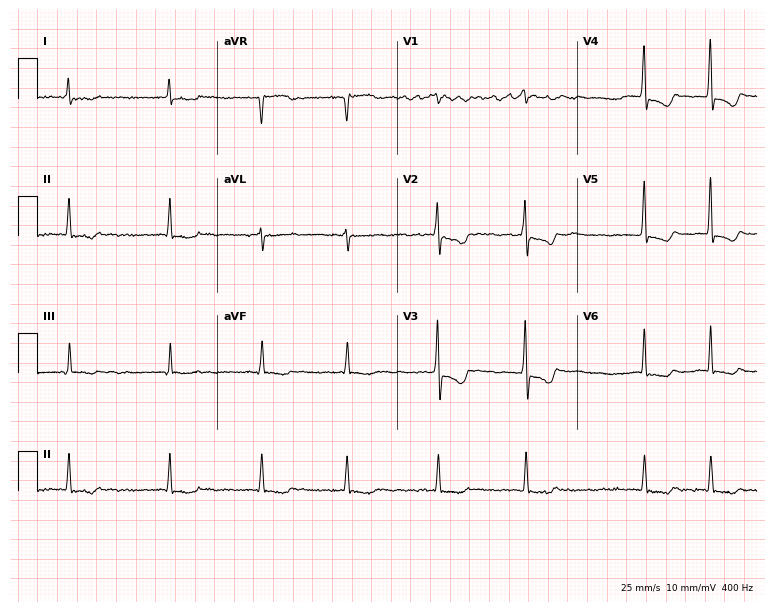
Electrocardiogram (7.3-second recording at 400 Hz), a female patient, 49 years old. Interpretation includes atrial fibrillation.